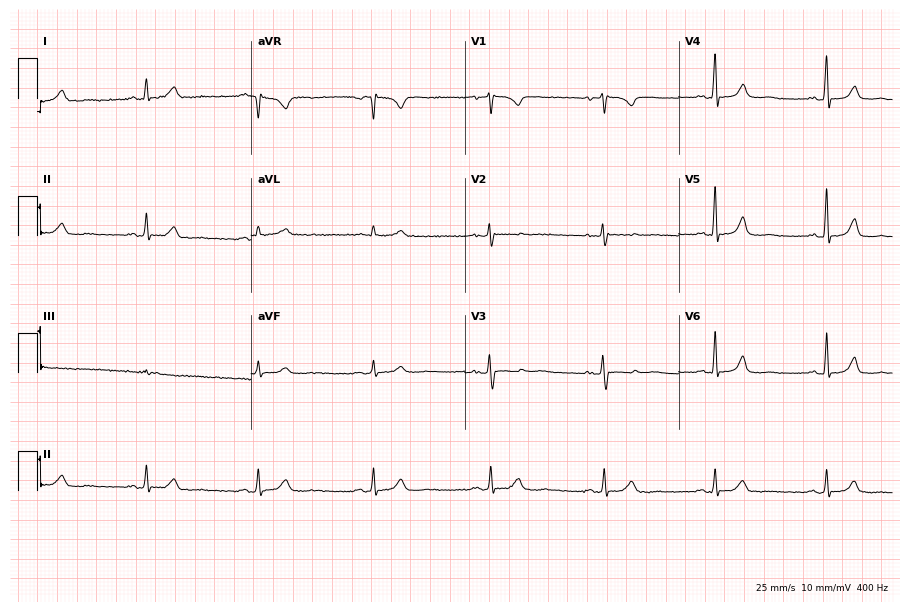
Electrocardiogram, a 57-year-old female. Of the six screened findings (first-degree AV block, right bundle branch block, left bundle branch block, sinus bradycardia, atrial fibrillation, sinus tachycardia), none is recorded.